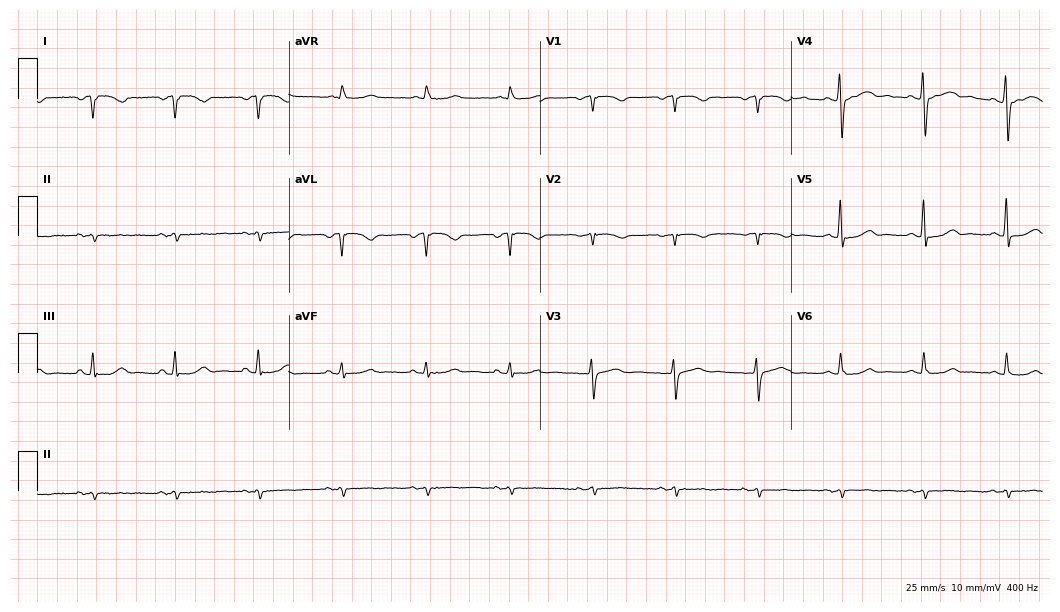
12-lead ECG from a female, 62 years old. No first-degree AV block, right bundle branch block (RBBB), left bundle branch block (LBBB), sinus bradycardia, atrial fibrillation (AF) or sinus tachycardia recorded for this tracing. Findings outside these six are not listed.